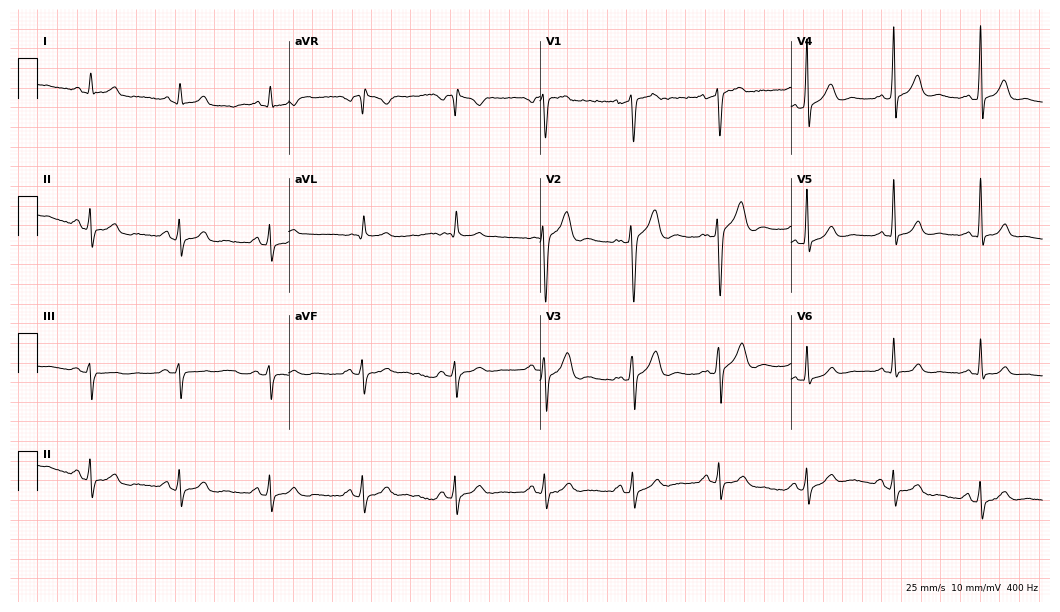
Electrocardiogram (10.2-second recording at 400 Hz), a 46-year-old male. Overall reading on record: normal ECG.